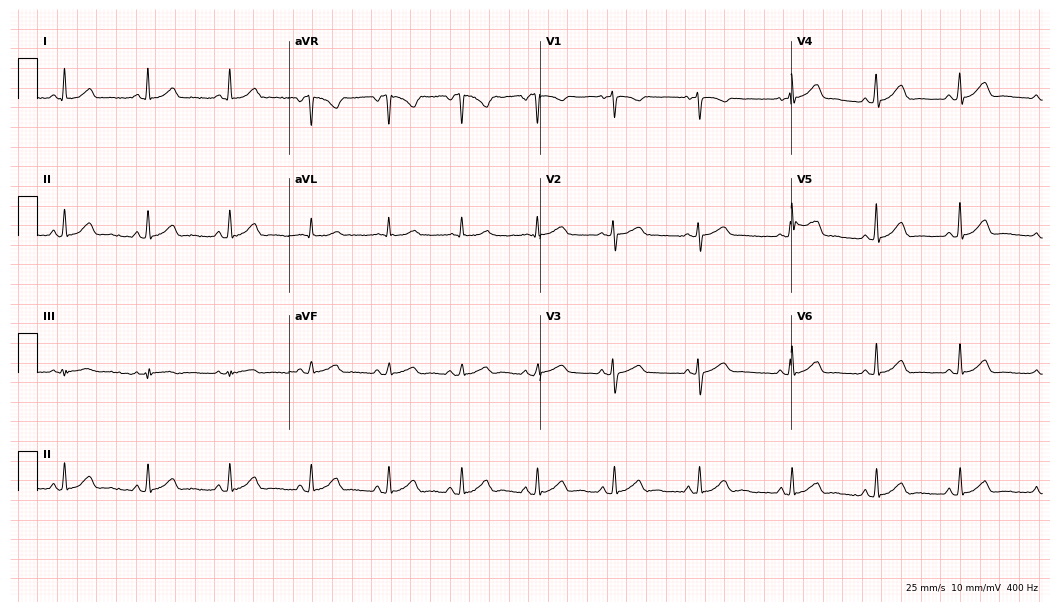
Standard 12-lead ECG recorded from a 43-year-old woman (10.2-second recording at 400 Hz). Read as a normal ECG.